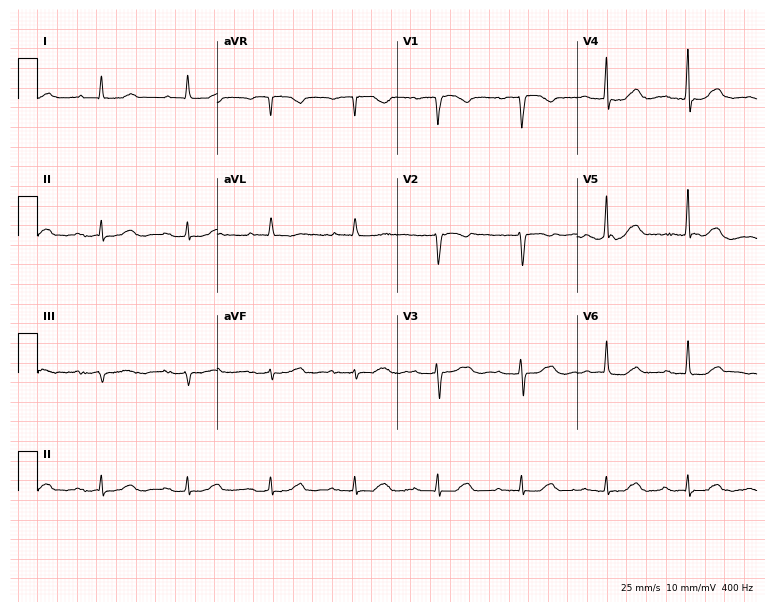
Electrocardiogram (7.3-second recording at 400 Hz), an 81-year-old female patient. Interpretation includes first-degree AV block.